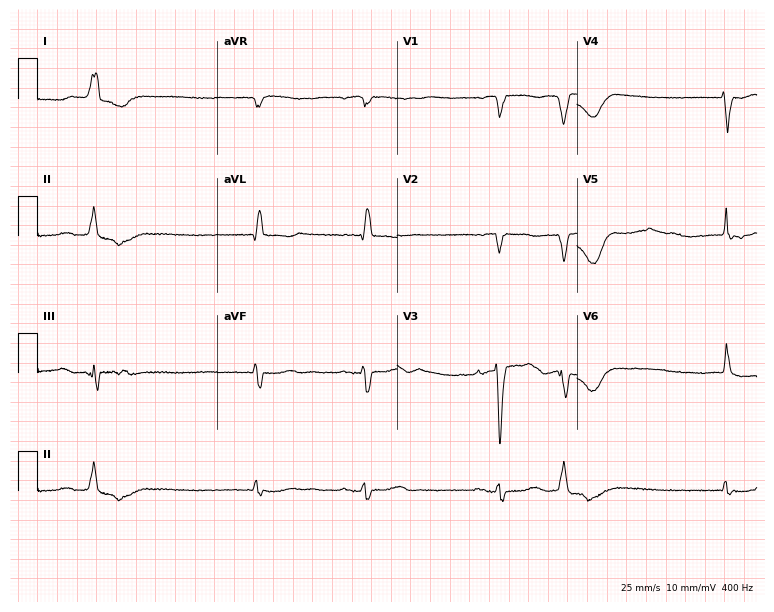
Standard 12-lead ECG recorded from a female patient, 80 years old (7.3-second recording at 400 Hz). The tracing shows left bundle branch block (LBBB).